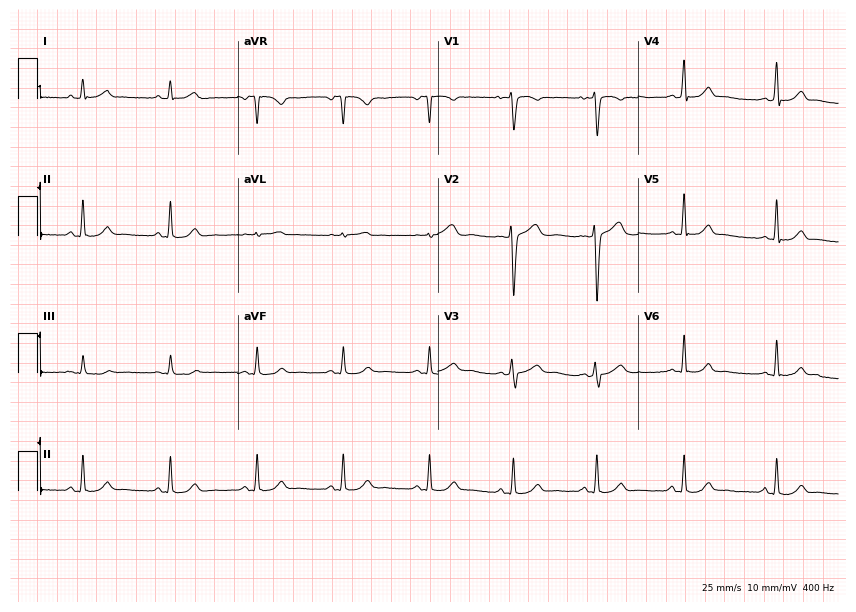
Resting 12-lead electrocardiogram (8.2-second recording at 400 Hz). Patient: a woman, 34 years old. Read as a normal ECG.